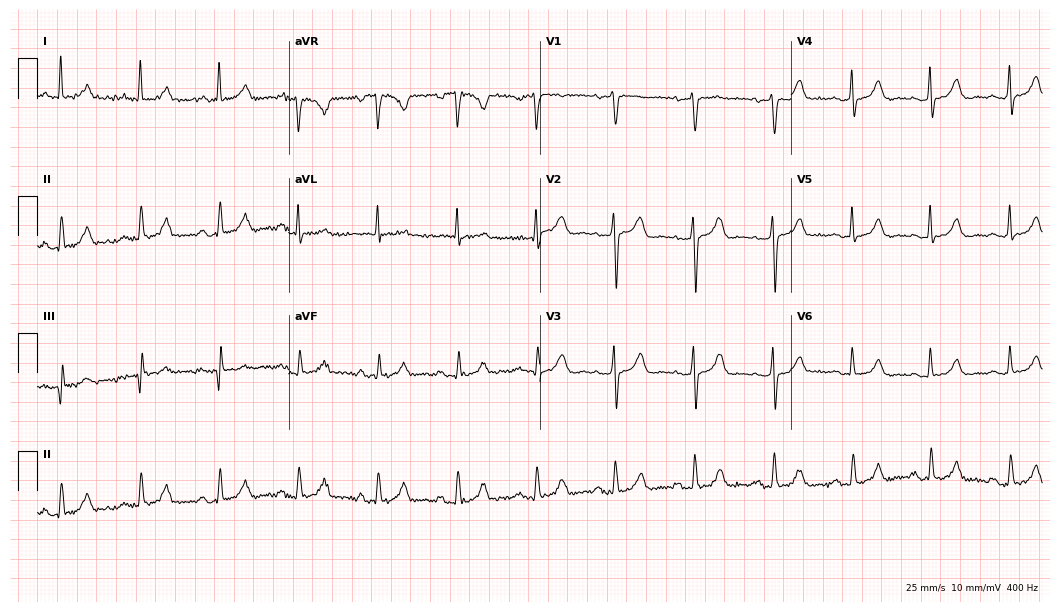
Standard 12-lead ECG recorded from a female patient, 76 years old. None of these six findings is recorded: first-degree AV block, right bundle branch block, left bundle branch block, sinus bradycardia, atrial fibrillation, sinus tachycardia.